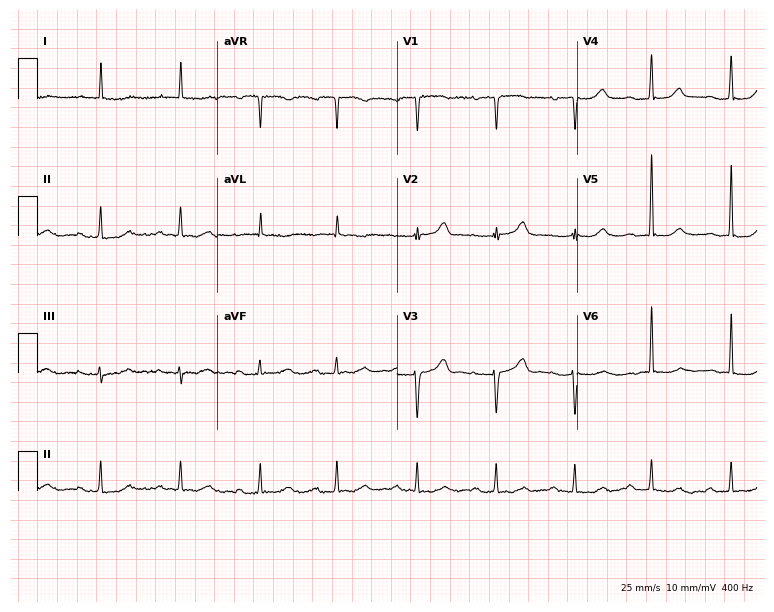
Resting 12-lead electrocardiogram. Patient: a female, 83 years old. The tracing shows first-degree AV block.